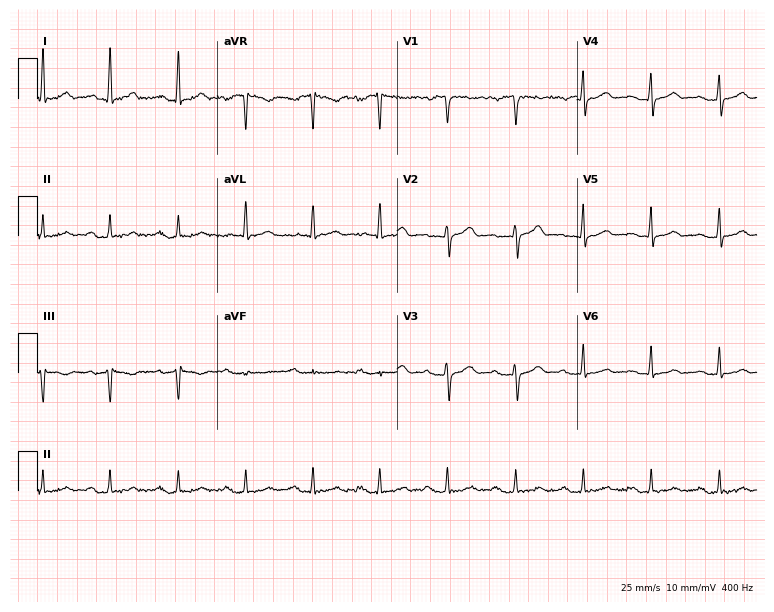
12-lead ECG from a woman, 41 years old. Labelled as a normal ECG.